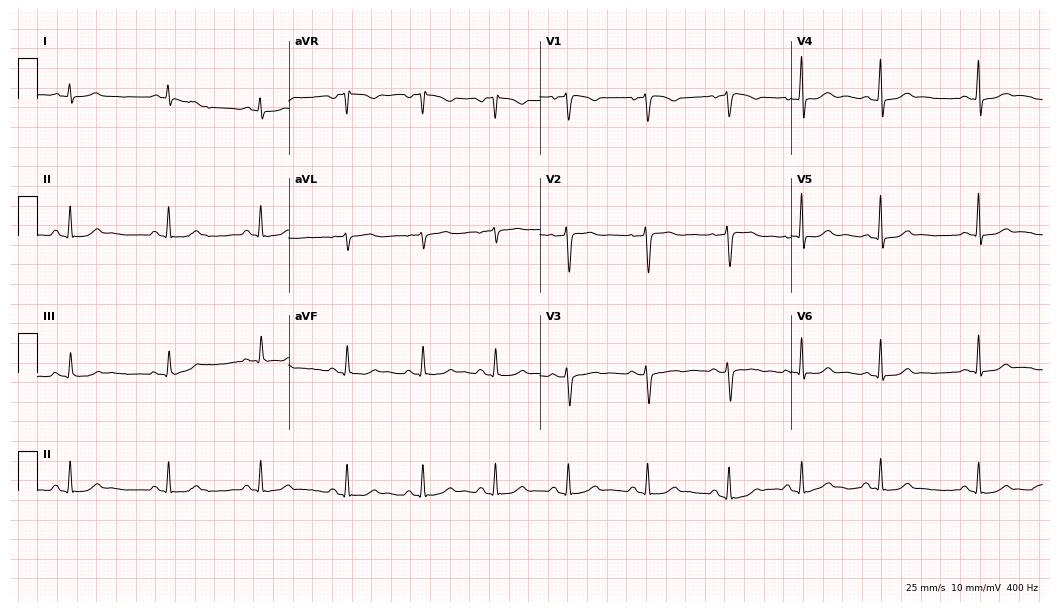
ECG — a female patient, 38 years old. Labelled as a normal ECG.